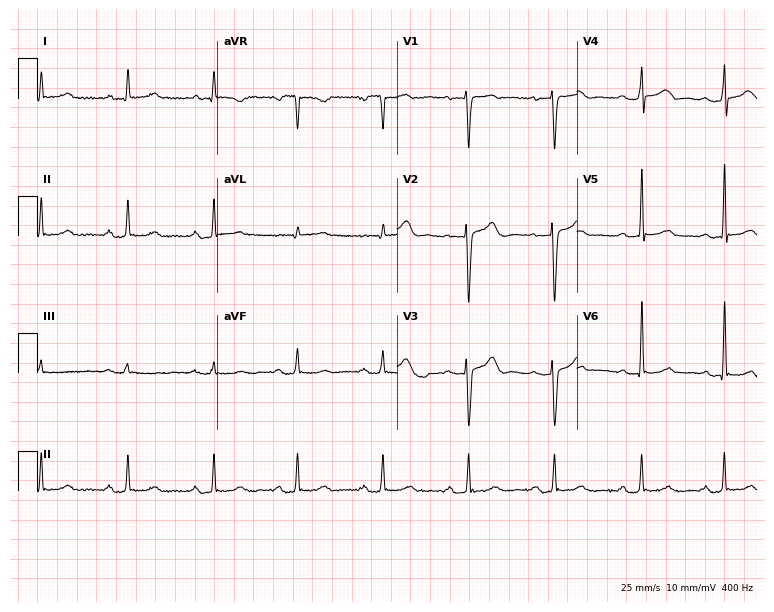
Resting 12-lead electrocardiogram (7.3-second recording at 400 Hz). Patient: a male, 42 years old. The tracing shows first-degree AV block.